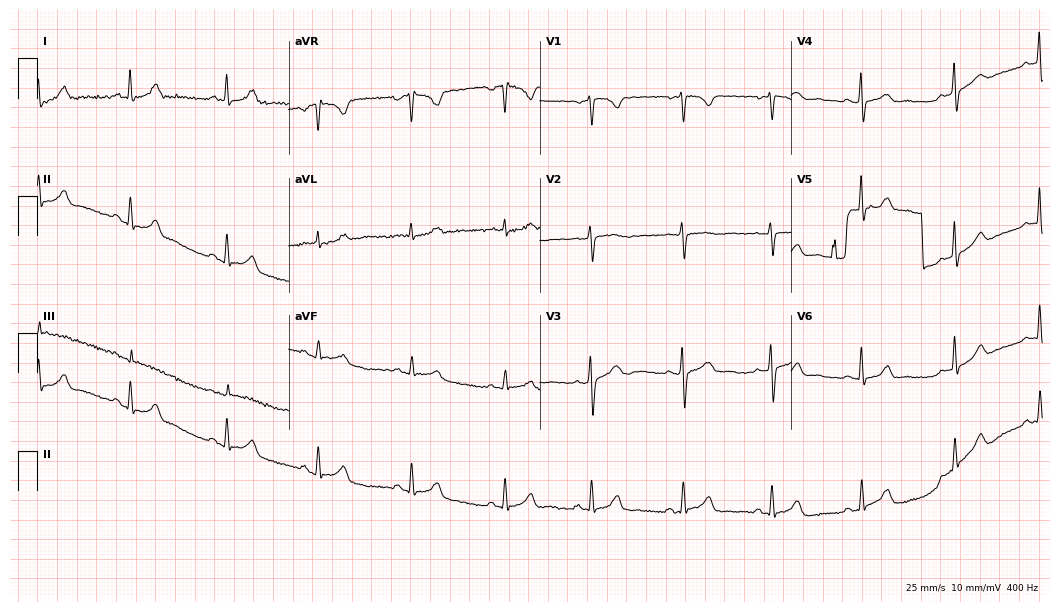
Electrocardiogram, a woman, 41 years old. Overall reading on record: normal ECG.